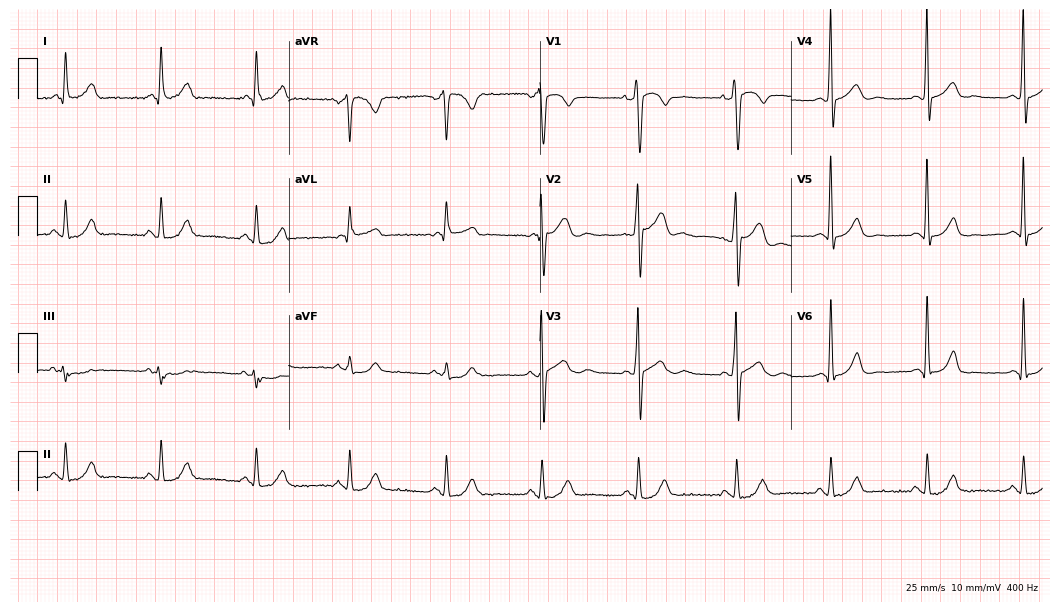
12-lead ECG from a man, 43 years old (10.2-second recording at 400 Hz). No first-degree AV block, right bundle branch block, left bundle branch block, sinus bradycardia, atrial fibrillation or sinus tachycardia recorded for this tracing.